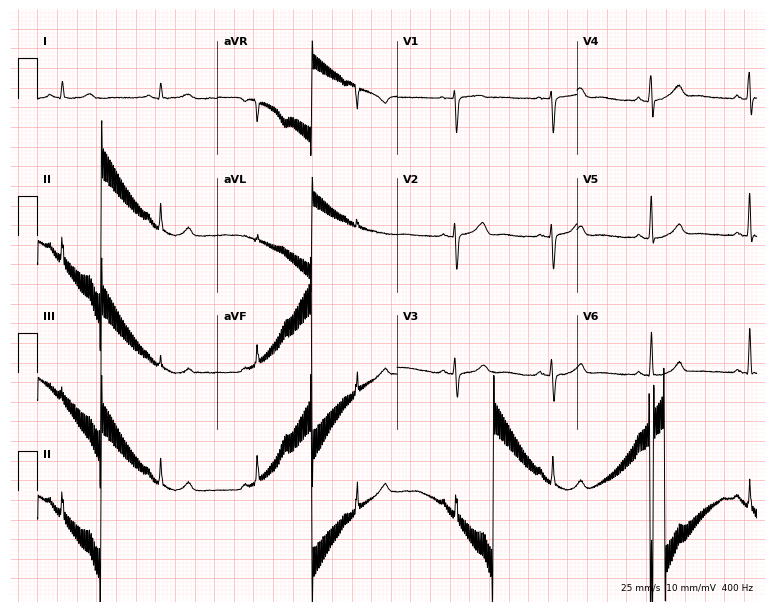
12-lead ECG from a woman, 44 years old. Labelled as a normal ECG.